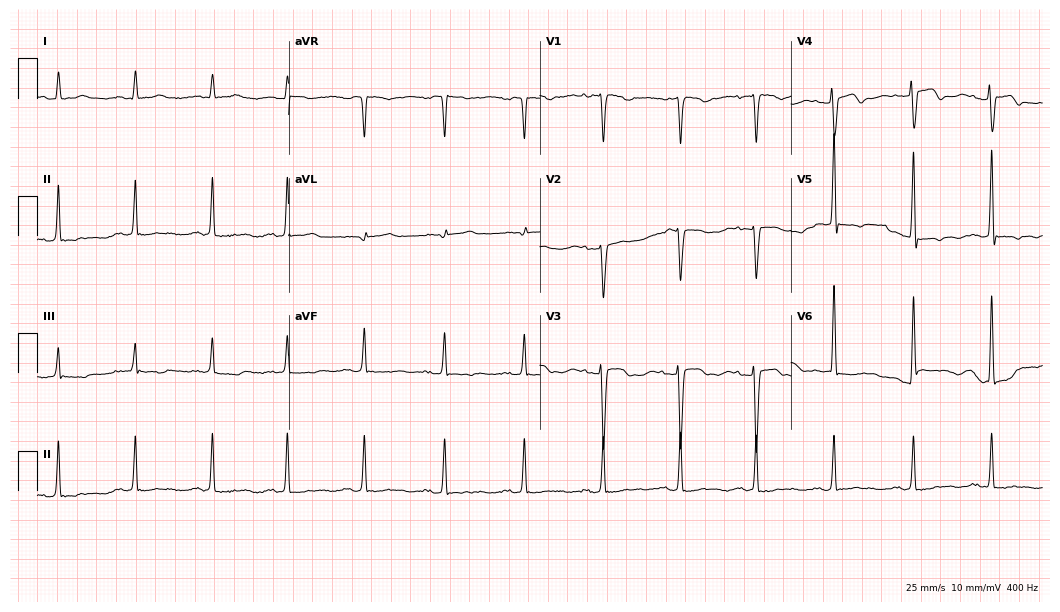
12-lead ECG (10.2-second recording at 400 Hz) from a female patient, 38 years old. Screened for six findings — first-degree AV block, right bundle branch block, left bundle branch block, sinus bradycardia, atrial fibrillation, sinus tachycardia — none is recorded.